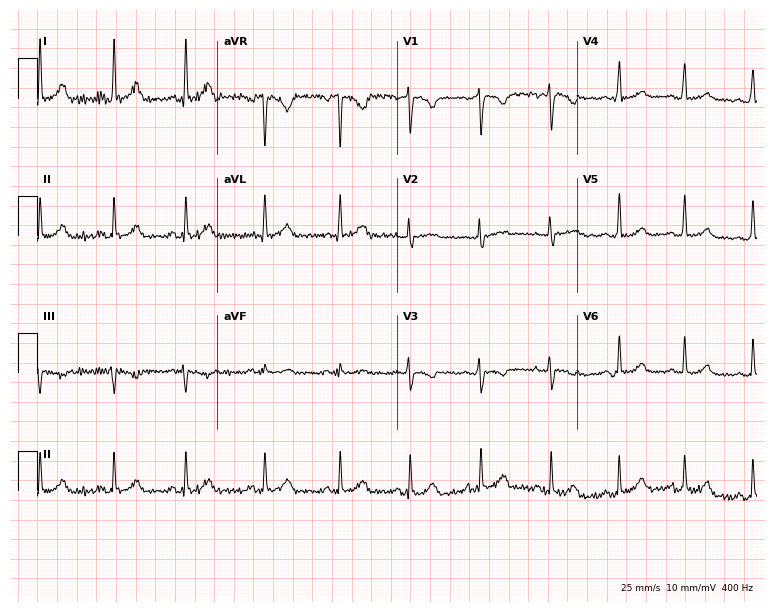
Resting 12-lead electrocardiogram. Patient: a female, 27 years old. None of these six findings is recorded: first-degree AV block, right bundle branch block, left bundle branch block, sinus bradycardia, atrial fibrillation, sinus tachycardia. Other findings, if any, are not listed.